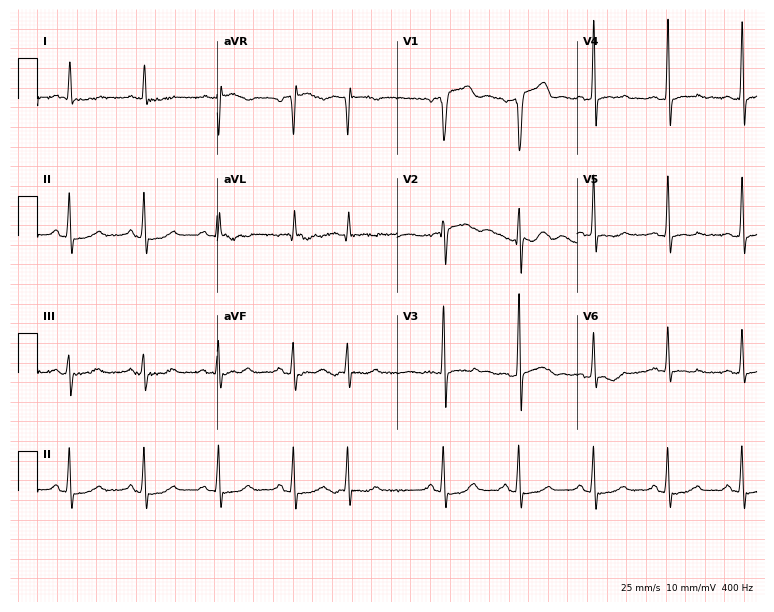
Resting 12-lead electrocardiogram. Patient: a male, 76 years old. None of these six findings is recorded: first-degree AV block, right bundle branch block, left bundle branch block, sinus bradycardia, atrial fibrillation, sinus tachycardia.